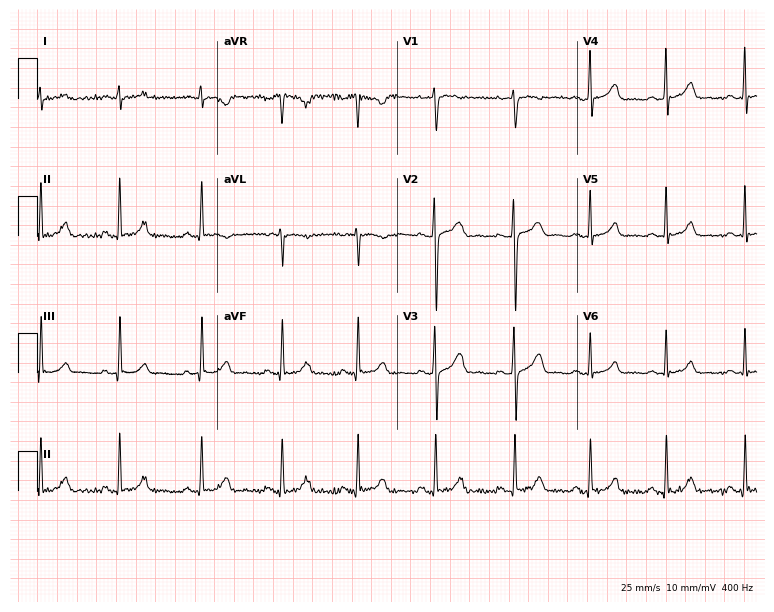
12-lead ECG from a 24-year-old female patient. Labelled as a normal ECG.